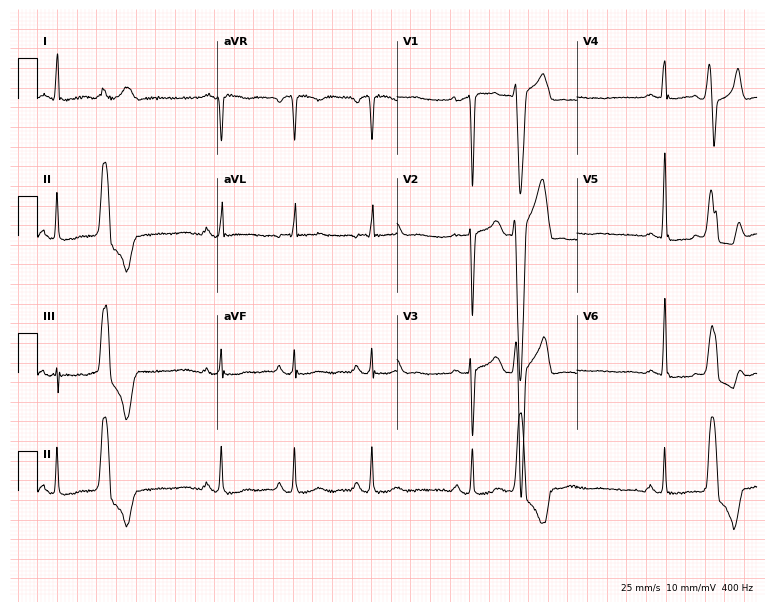
12-lead ECG from a 38-year-old male patient. No first-degree AV block, right bundle branch block, left bundle branch block, sinus bradycardia, atrial fibrillation or sinus tachycardia recorded for this tracing. Other findings, if any, are not listed.